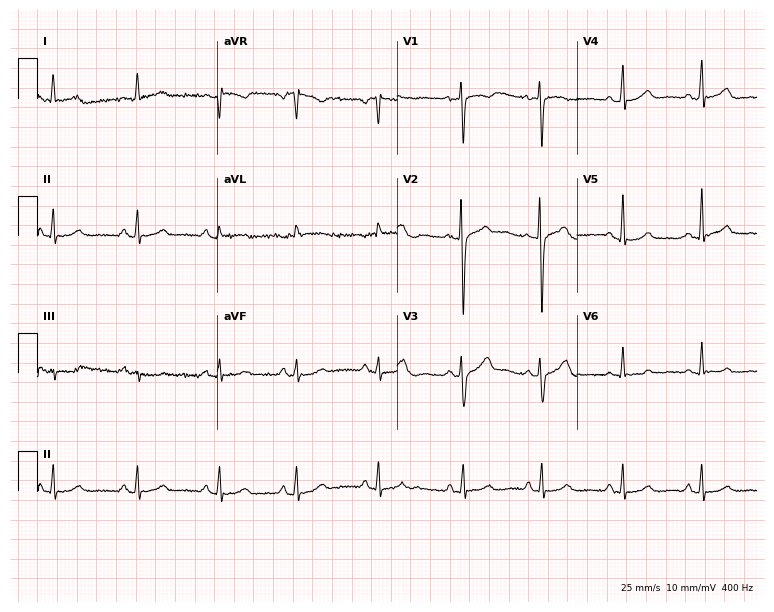
12-lead ECG from a 34-year-old female patient (7.3-second recording at 400 Hz). Recorded interpretation: within normal limits.